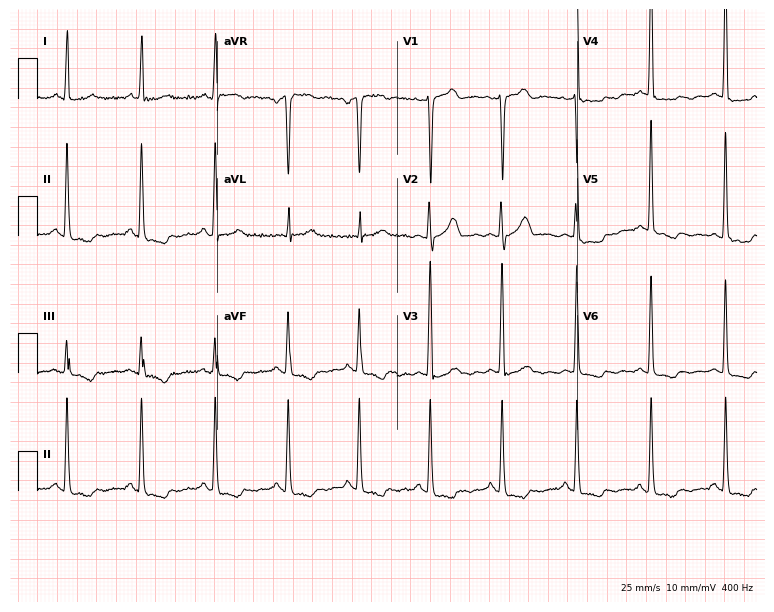
Electrocardiogram, a 55-year-old woman. Of the six screened findings (first-degree AV block, right bundle branch block (RBBB), left bundle branch block (LBBB), sinus bradycardia, atrial fibrillation (AF), sinus tachycardia), none is recorded. Other findings, if any, are not listed.